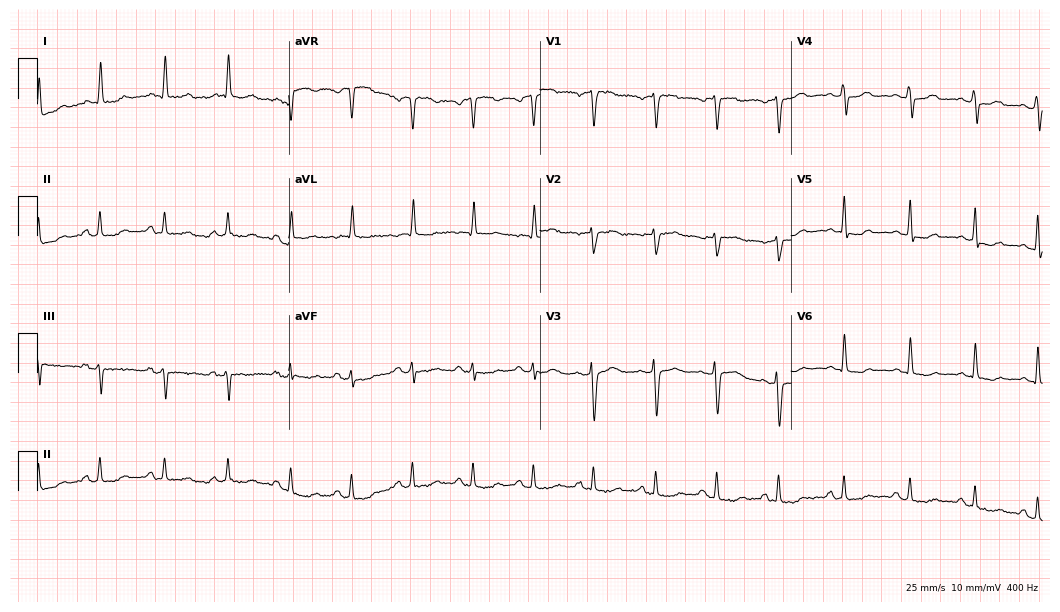
ECG (10.2-second recording at 400 Hz) — a 60-year-old female. Screened for six findings — first-degree AV block, right bundle branch block (RBBB), left bundle branch block (LBBB), sinus bradycardia, atrial fibrillation (AF), sinus tachycardia — none is recorded. Findings outside these six are not listed.